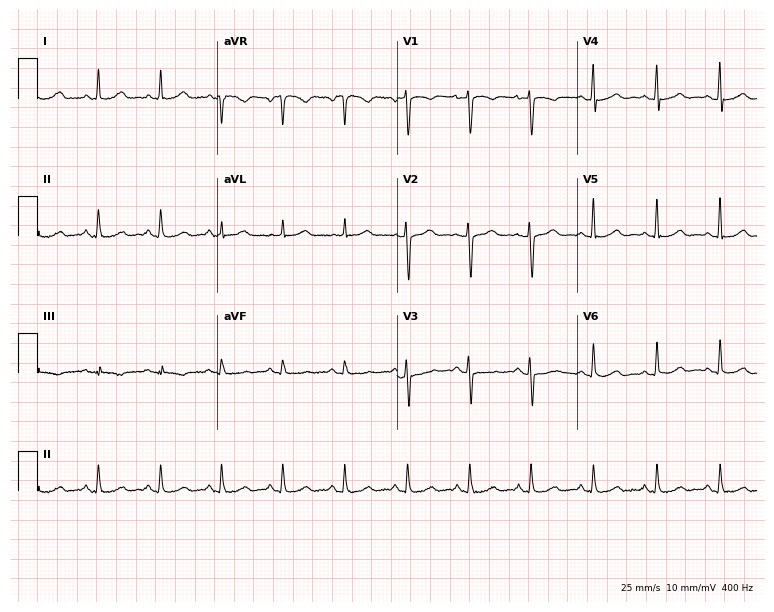
12-lead ECG from a 39-year-old female patient. Labelled as a normal ECG.